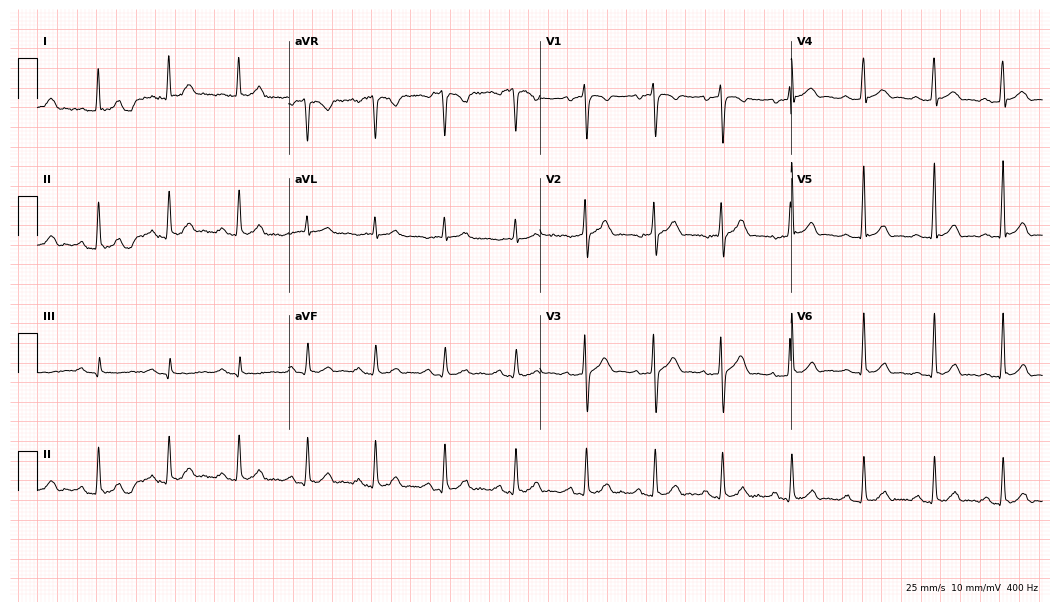
Electrocardiogram (10.2-second recording at 400 Hz), a male patient, 55 years old. Overall reading on record: normal ECG.